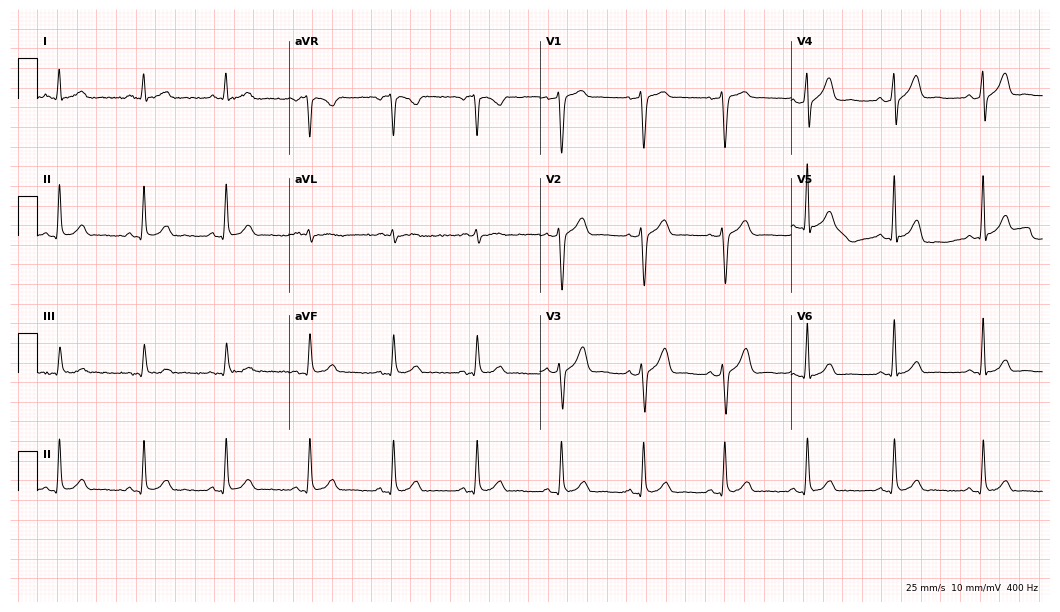
Electrocardiogram, a male, 61 years old. Overall reading on record: normal ECG.